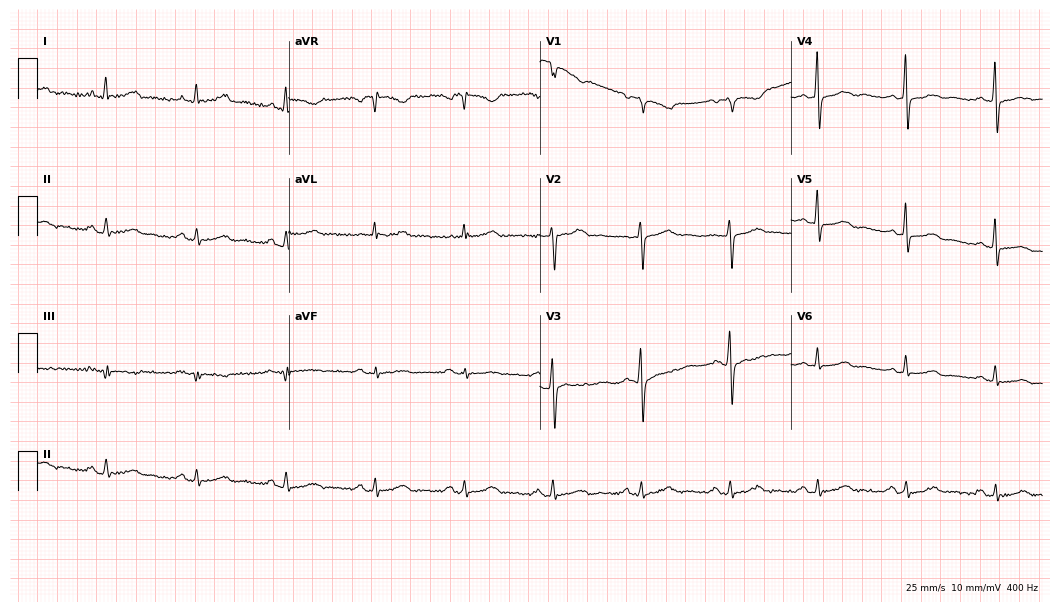
12-lead ECG from a 59-year-old woman (10.2-second recording at 400 Hz). No first-degree AV block, right bundle branch block, left bundle branch block, sinus bradycardia, atrial fibrillation or sinus tachycardia recorded for this tracing. Other findings, if any, are not listed.